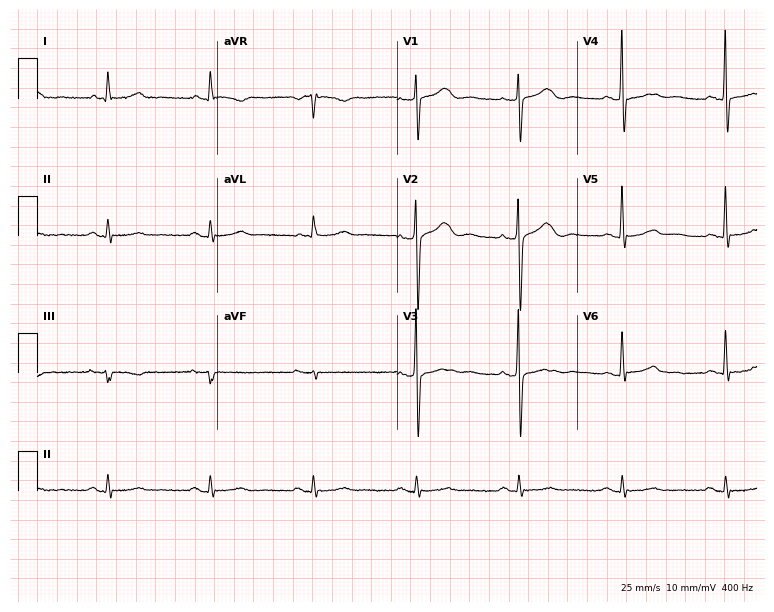
12-lead ECG (7.3-second recording at 400 Hz) from an 81-year-old male patient. Screened for six findings — first-degree AV block, right bundle branch block, left bundle branch block, sinus bradycardia, atrial fibrillation, sinus tachycardia — none is recorded.